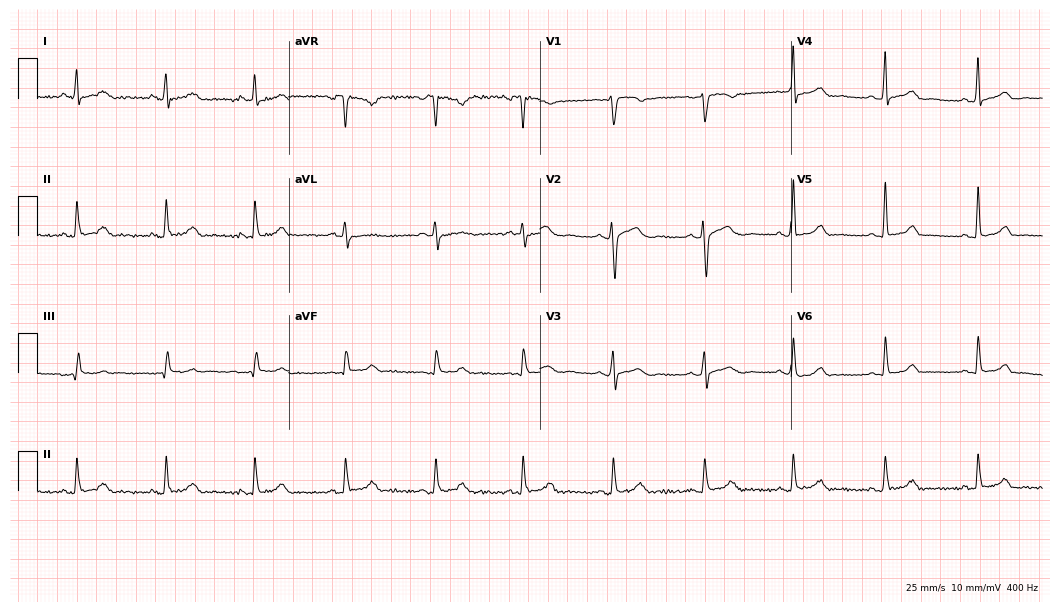
ECG — a male, 29 years old. Labelled as a normal ECG.